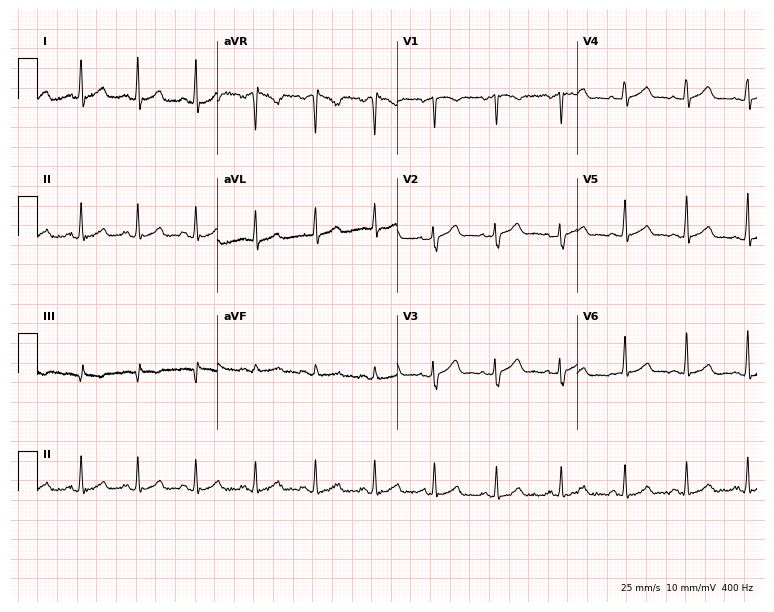
ECG (7.3-second recording at 400 Hz) — a 40-year-old woman. Screened for six findings — first-degree AV block, right bundle branch block (RBBB), left bundle branch block (LBBB), sinus bradycardia, atrial fibrillation (AF), sinus tachycardia — none is recorded.